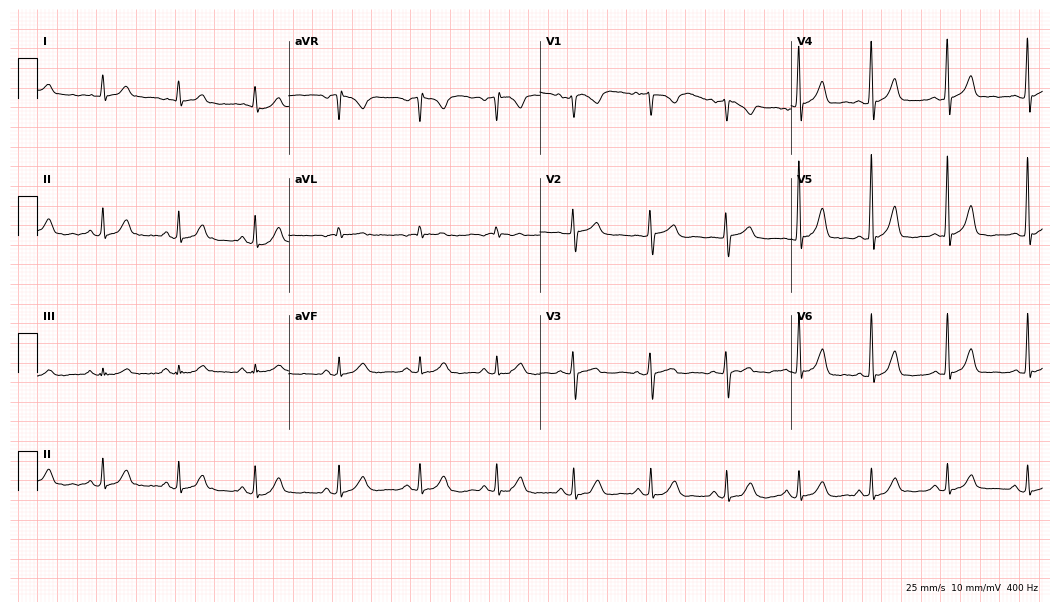
Standard 12-lead ECG recorded from a female, 58 years old. Read as a normal ECG.